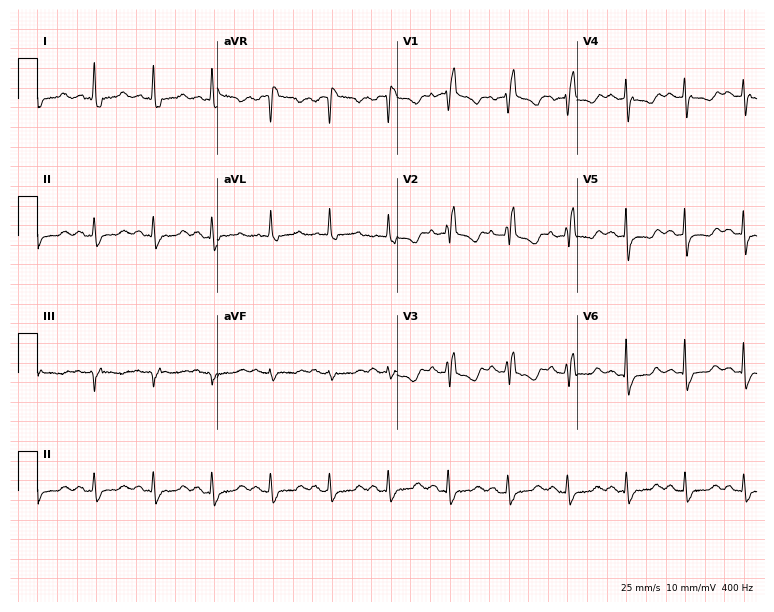
Standard 12-lead ECG recorded from a 67-year-old female patient. The tracing shows right bundle branch block (RBBB).